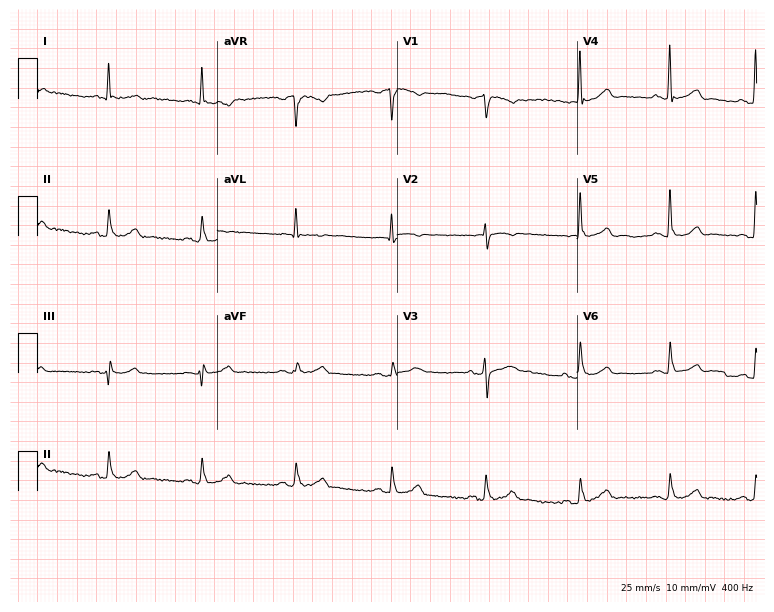
ECG (7.3-second recording at 400 Hz) — a 71-year-old male patient. Screened for six findings — first-degree AV block, right bundle branch block, left bundle branch block, sinus bradycardia, atrial fibrillation, sinus tachycardia — none is recorded. Only these six findings were labelled.